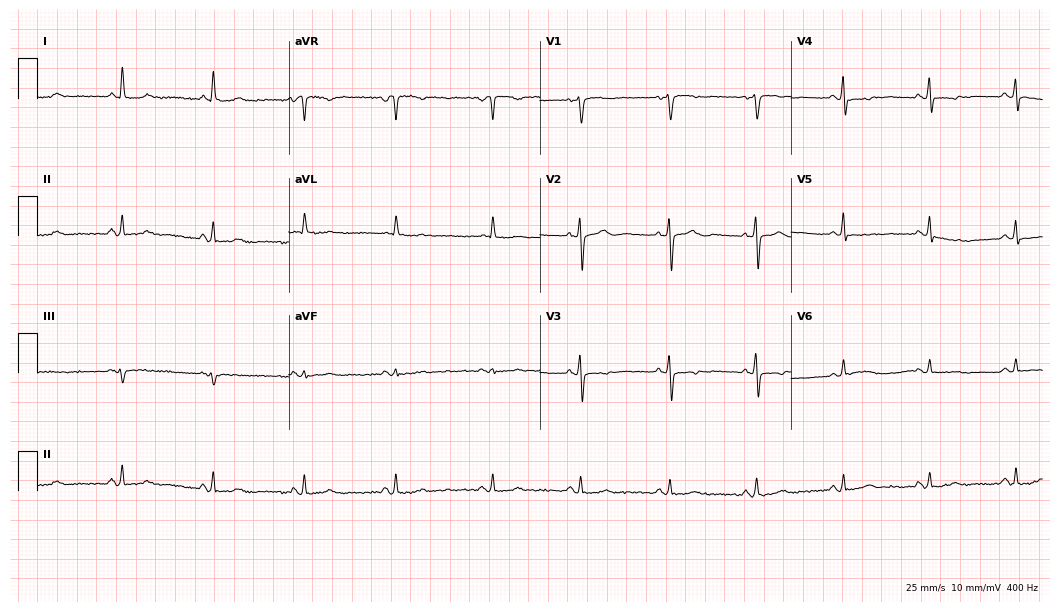
12-lead ECG (10.2-second recording at 400 Hz) from a woman, 65 years old. Screened for six findings — first-degree AV block, right bundle branch block, left bundle branch block, sinus bradycardia, atrial fibrillation, sinus tachycardia — none is recorded.